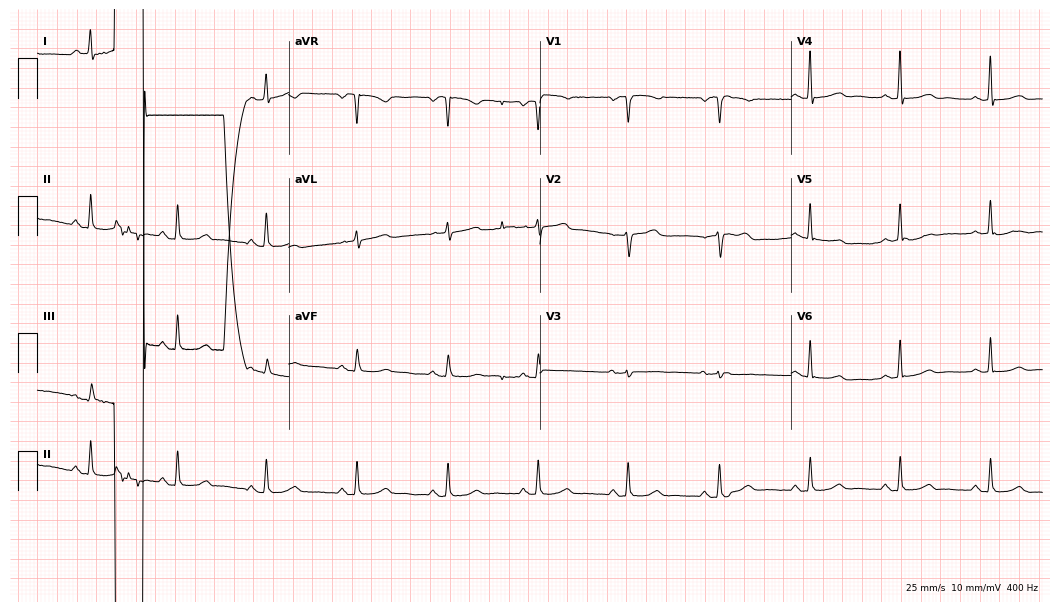
12-lead ECG (10.2-second recording at 400 Hz) from a female, 69 years old. Screened for six findings — first-degree AV block, right bundle branch block, left bundle branch block, sinus bradycardia, atrial fibrillation, sinus tachycardia — none is recorded.